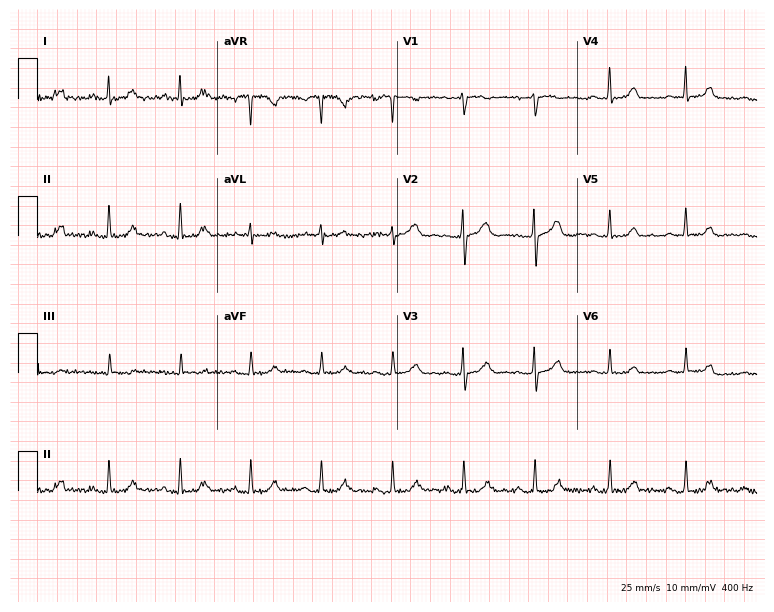
Resting 12-lead electrocardiogram. Patient: a 47-year-old female. None of these six findings is recorded: first-degree AV block, right bundle branch block, left bundle branch block, sinus bradycardia, atrial fibrillation, sinus tachycardia. Only these six findings were labelled.